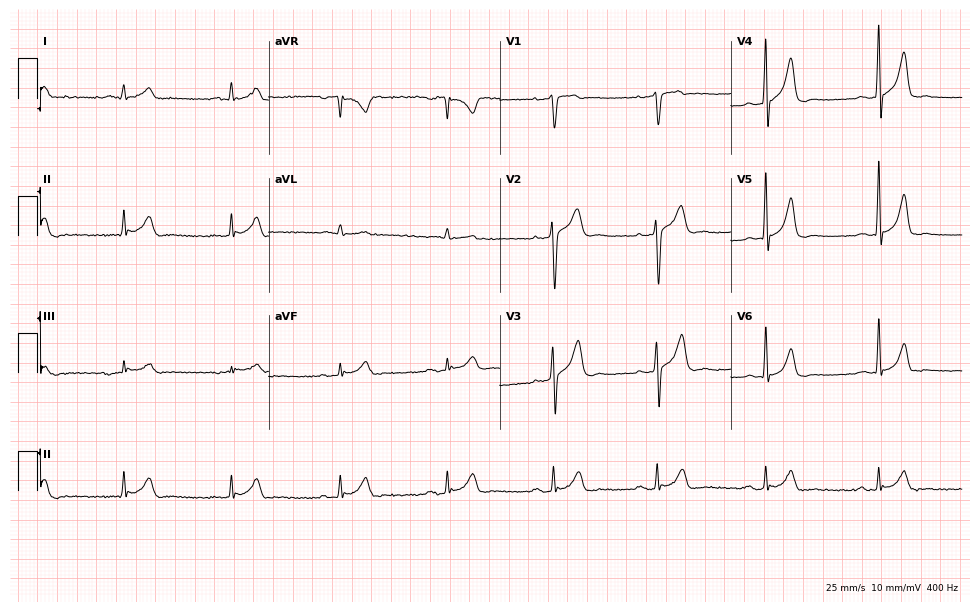
12-lead ECG from a male patient, 37 years old (9.4-second recording at 400 Hz). No first-degree AV block, right bundle branch block, left bundle branch block, sinus bradycardia, atrial fibrillation or sinus tachycardia recorded for this tracing. Findings outside these six are not listed.